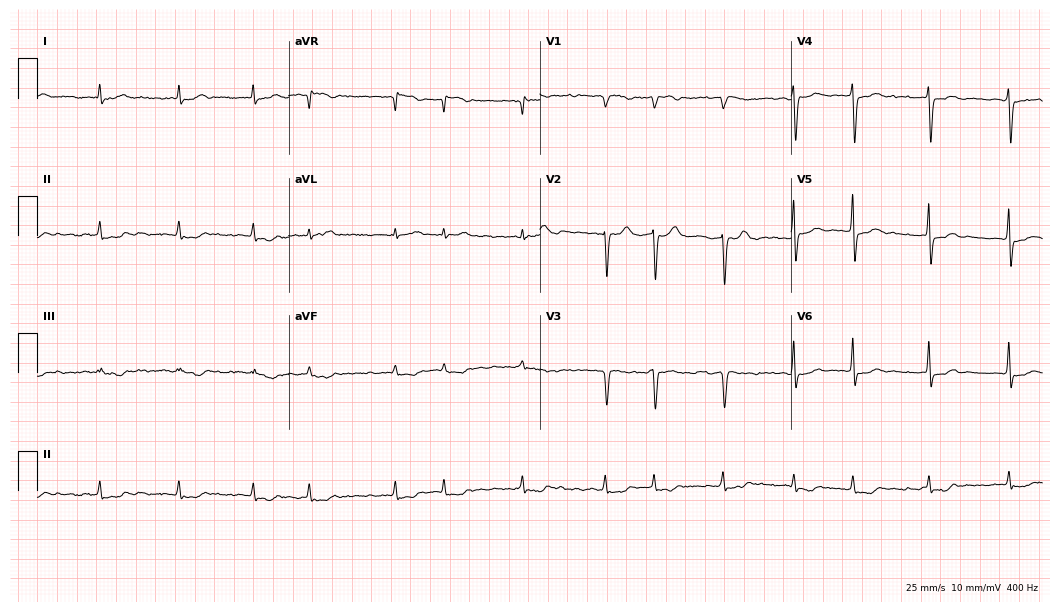
12-lead ECG from a female patient, 82 years old. Findings include atrial fibrillation.